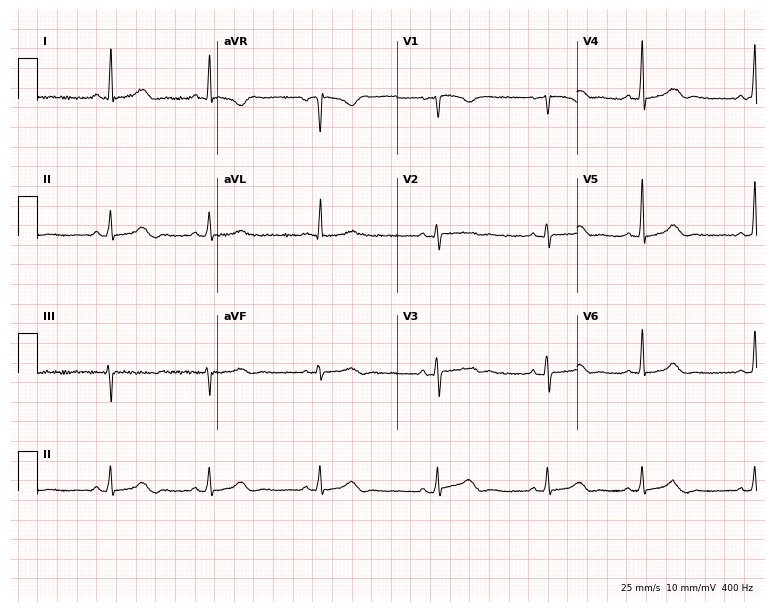
ECG — a 45-year-old female patient. Screened for six findings — first-degree AV block, right bundle branch block (RBBB), left bundle branch block (LBBB), sinus bradycardia, atrial fibrillation (AF), sinus tachycardia — none is recorded. Findings outside these six are not listed.